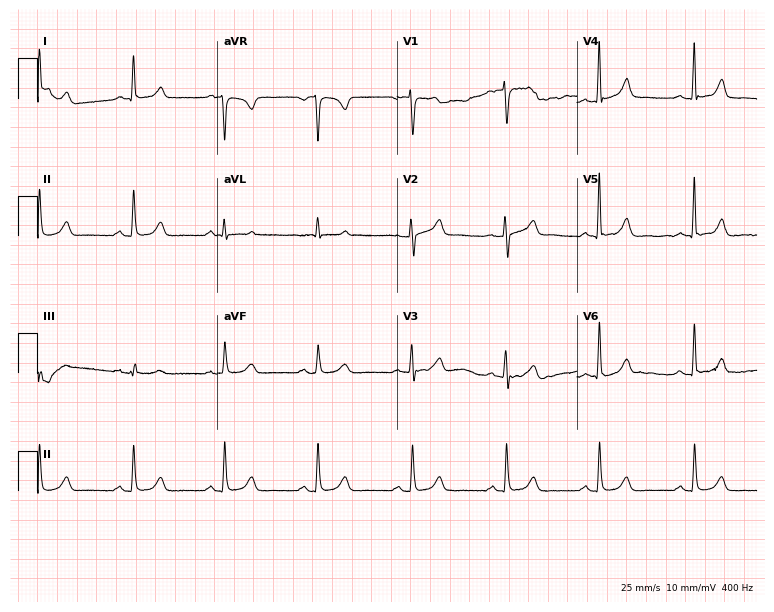
Electrocardiogram (7.3-second recording at 400 Hz), a 67-year-old woman. Overall reading on record: normal ECG.